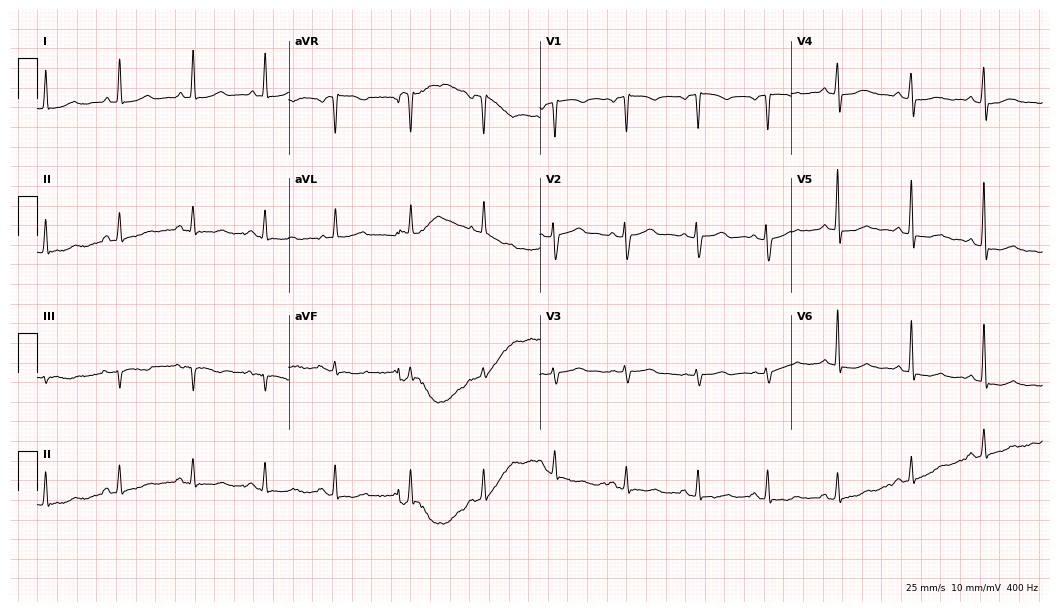
12-lead ECG from a female, 65 years old (10.2-second recording at 400 Hz). No first-degree AV block, right bundle branch block, left bundle branch block, sinus bradycardia, atrial fibrillation or sinus tachycardia recorded for this tracing. Other findings, if any, are not listed.